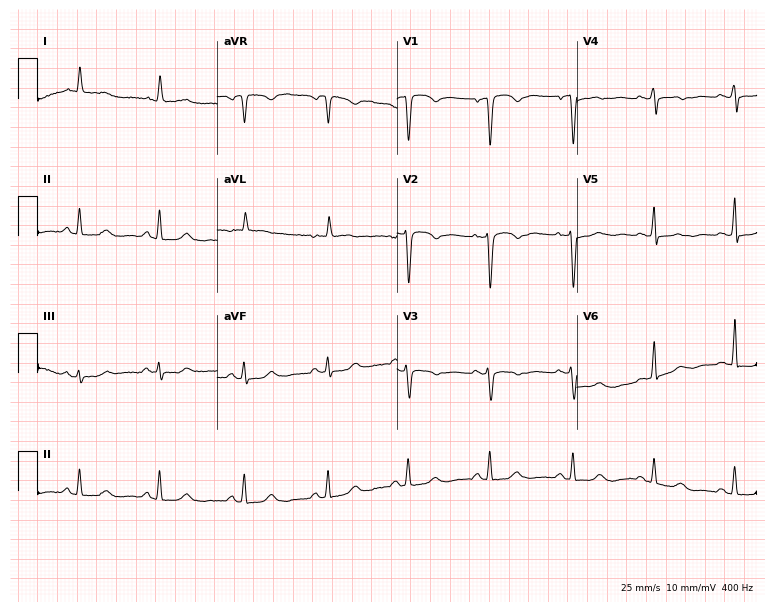
Standard 12-lead ECG recorded from a female, 77 years old. None of these six findings is recorded: first-degree AV block, right bundle branch block (RBBB), left bundle branch block (LBBB), sinus bradycardia, atrial fibrillation (AF), sinus tachycardia.